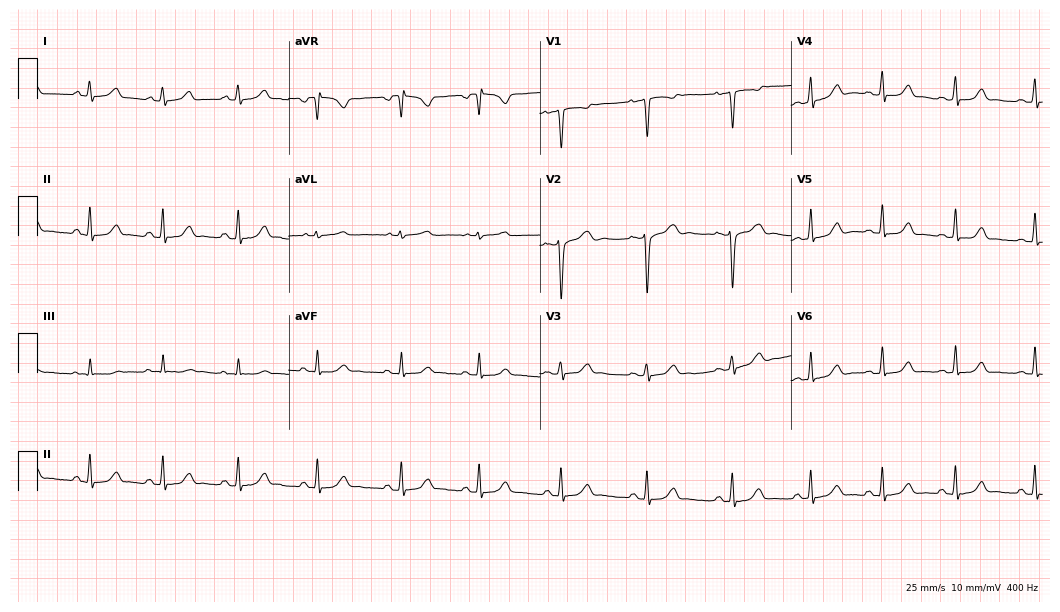
ECG (10.2-second recording at 400 Hz) — a 21-year-old female. Labelled as a normal ECG.